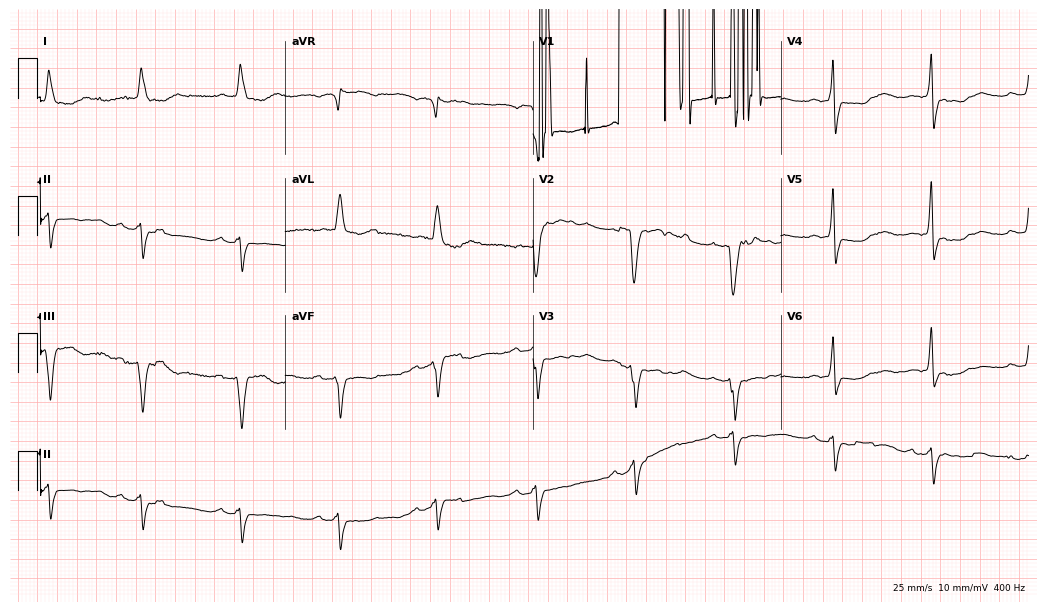
12-lead ECG from a 75-year-old female patient. No first-degree AV block, right bundle branch block (RBBB), left bundle branch block (LBBB), sinus bradycardia, atrial fibrillation (AF) or sinus tachycardia recorded for this tracing. Findings outside these six are not listed.